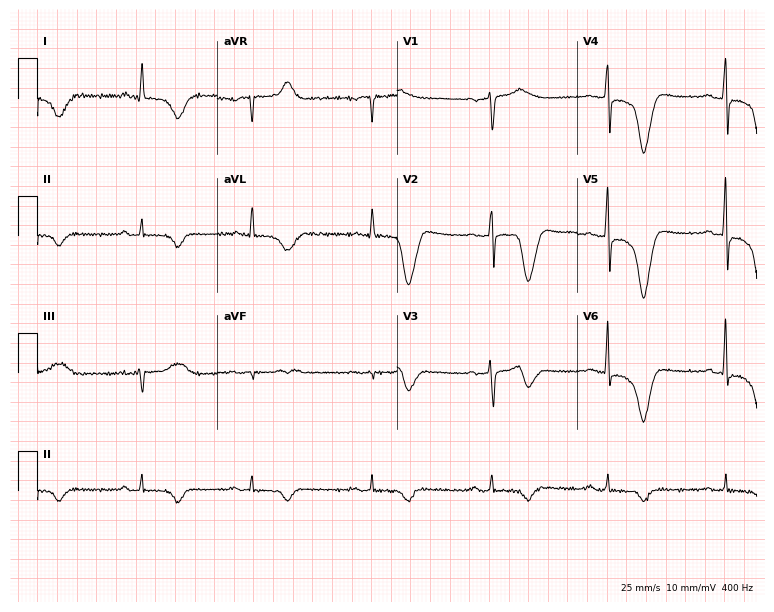
Resting 12-lead electrocardiogram. Patient: an 86-year-old man. None of these six findings is recorded: first-degree AV block, right bundle branch block (RBBB), left bundle branch block (LBBB), sinus bradycardia, atrial fibrillation (AF), sinus tachycardia. Only these six findings were labelled.